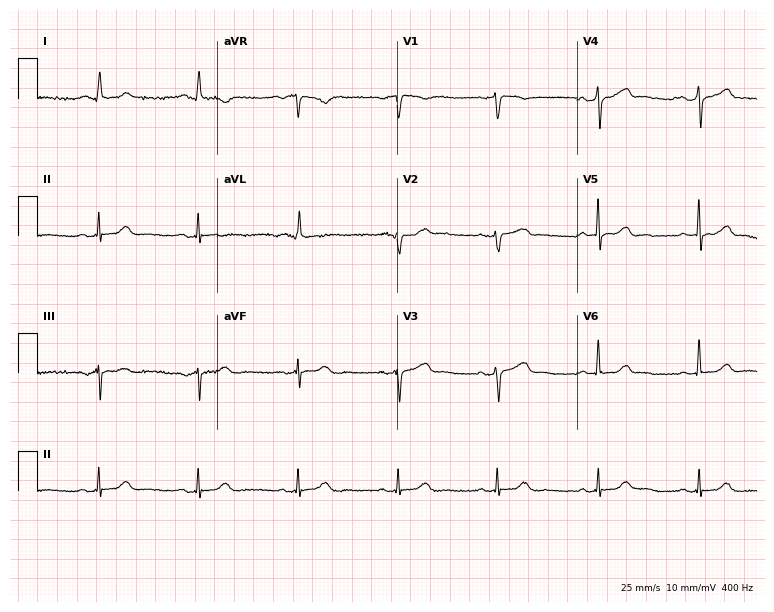
12-lead ECG from a 56-year-old female patient. Labelled as a normal ECG.